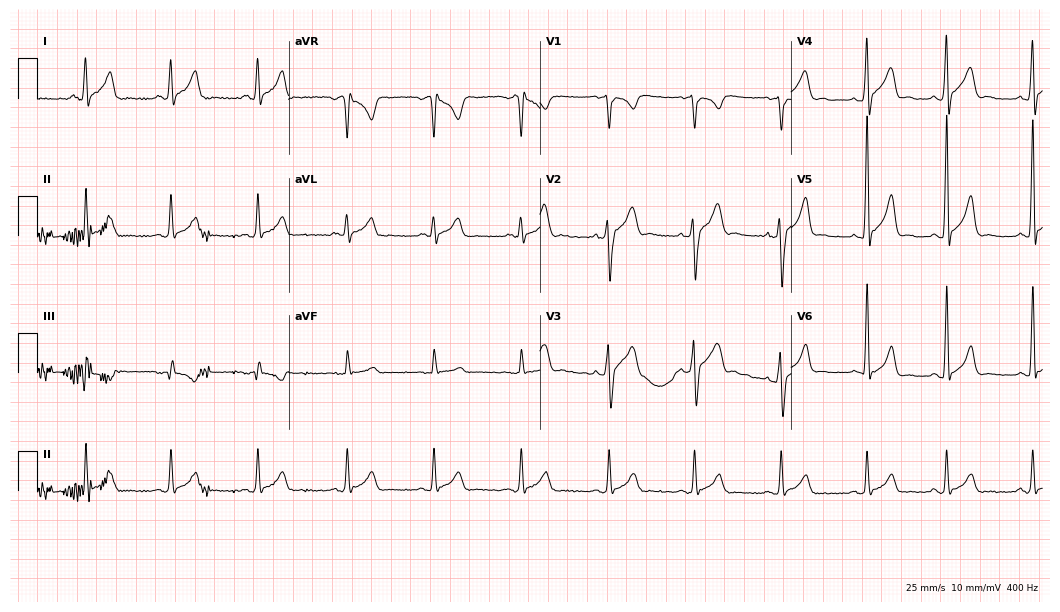
ECG — a male, 31 years old. Labelled as a normal ECG.